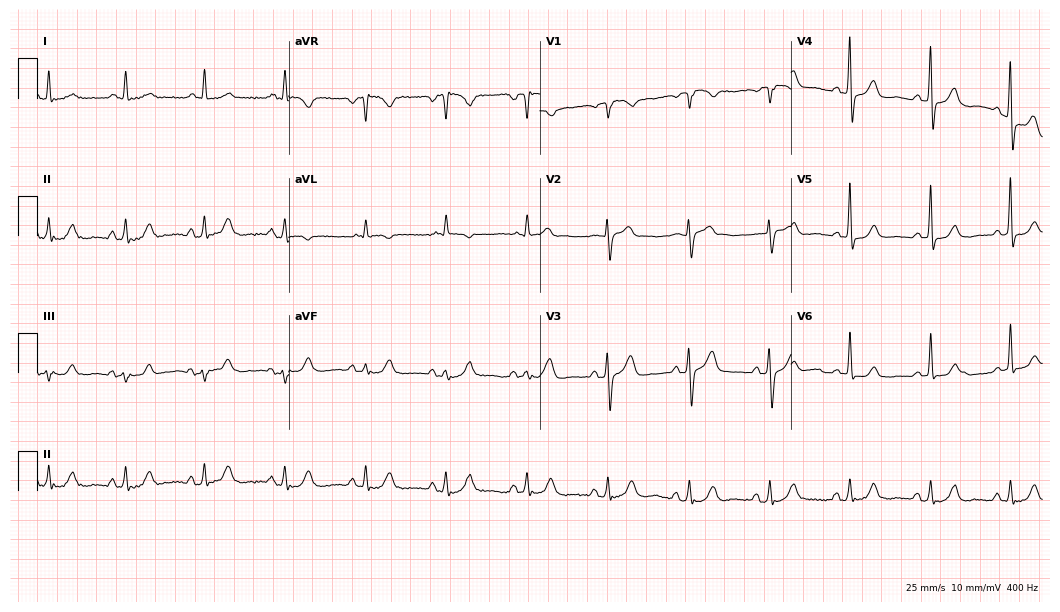
Electrocardiogram (10.2-second recording at 400 Hz), a 63-year-old male. Overall reading on record: normal ECG.